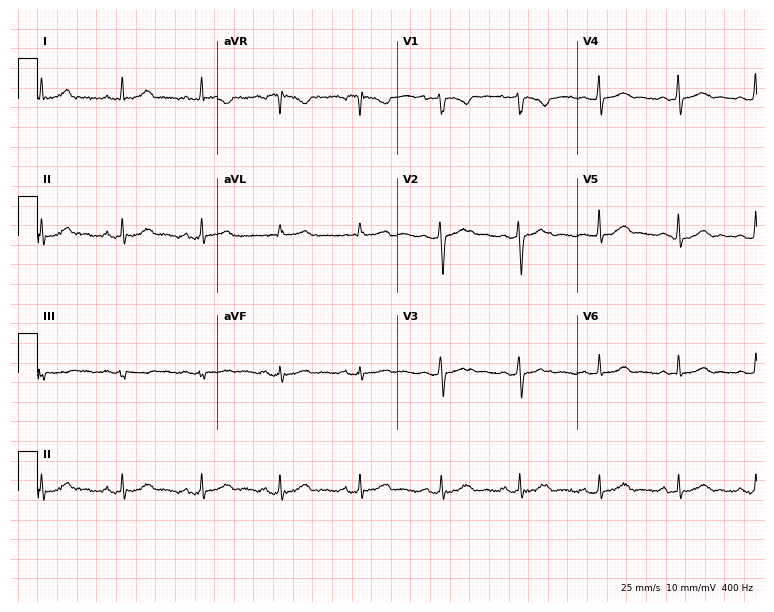
Electrocardiogram (7.3-second recording at 400 Hz), a woman, 26 years old. Overall reading on record: normal ECG.